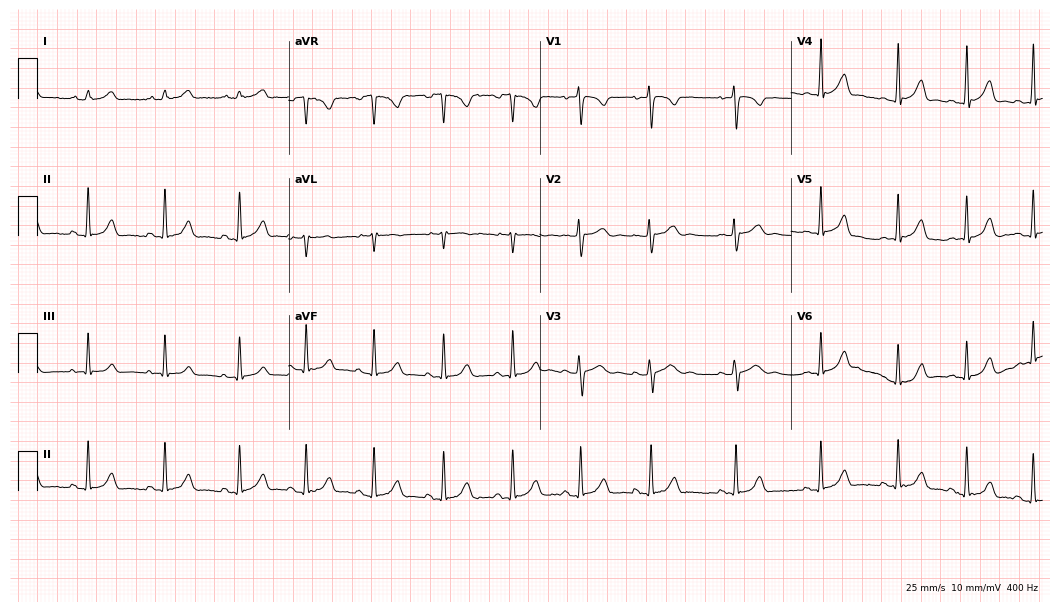
ECG — a 17-year-old female. Labelled as a normal ECG.